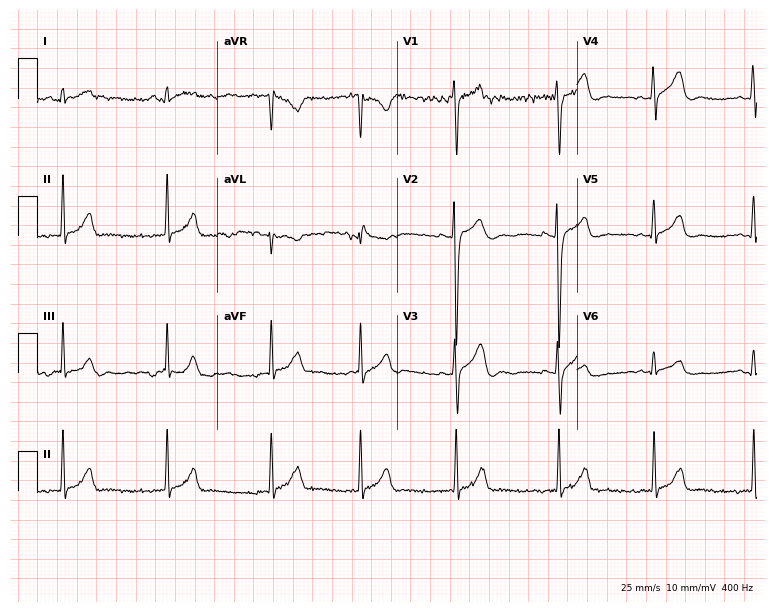
12-lead ECG from a 19-year-old man. No first-degree AV block, right bundle branch block (RBBB), left bundle branch block (LBBB), sinus bradycardia, atrial fibrillation (AF) or sinus tachycardia recorded for this tracing.